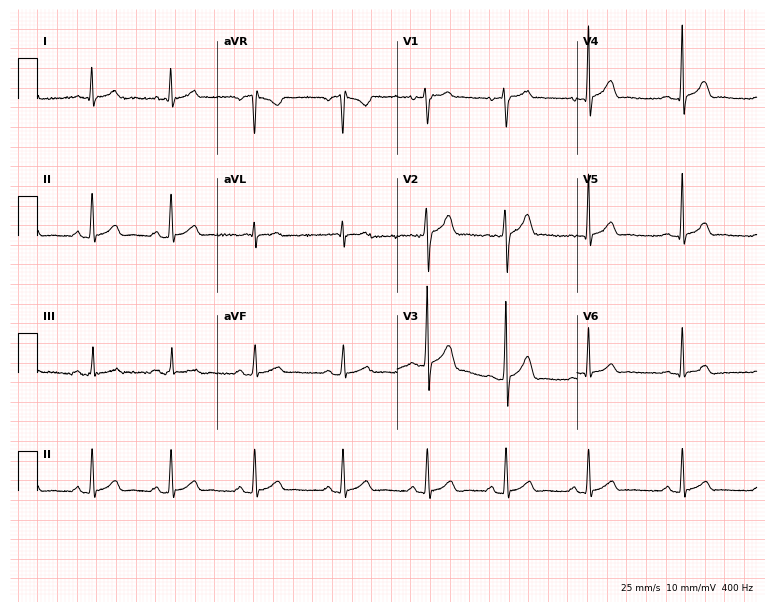
ECG (7.3-second recording at 400 Hz) — a man, 21 years old. Screened for six findings — first-degree AV block, right bundle branch block (RBBB), left bundle branch block (LBBB), sinus bradycardia, atrial fibrillation (AF), sinus tachycardia — none is recorded.